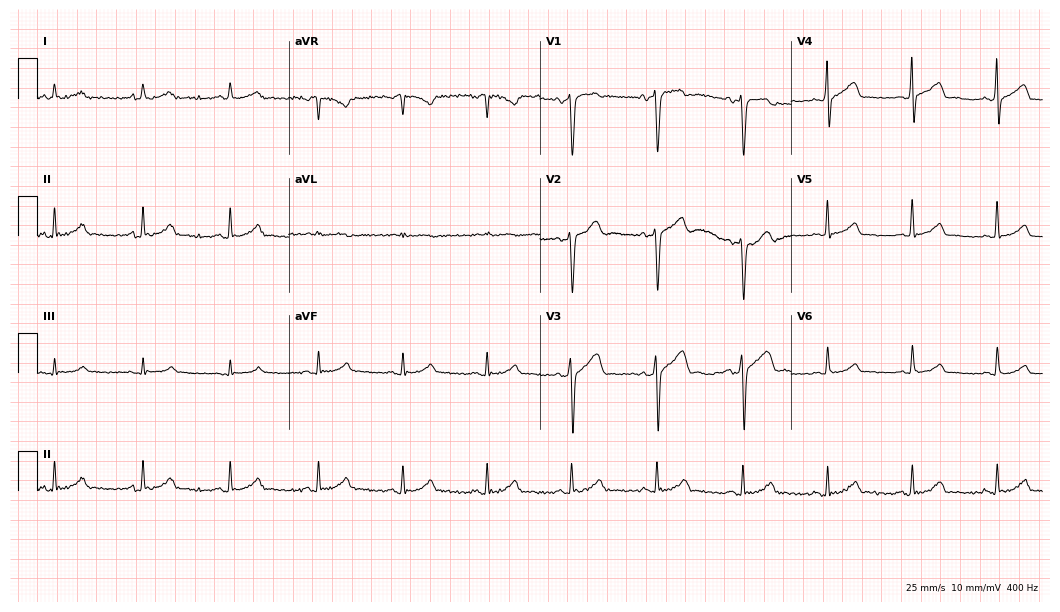
Resting 12-lead electrocardiogram (10.2-second recording at 400 Hz). Patient: a man, 45 years old. Read as a normal ECG.